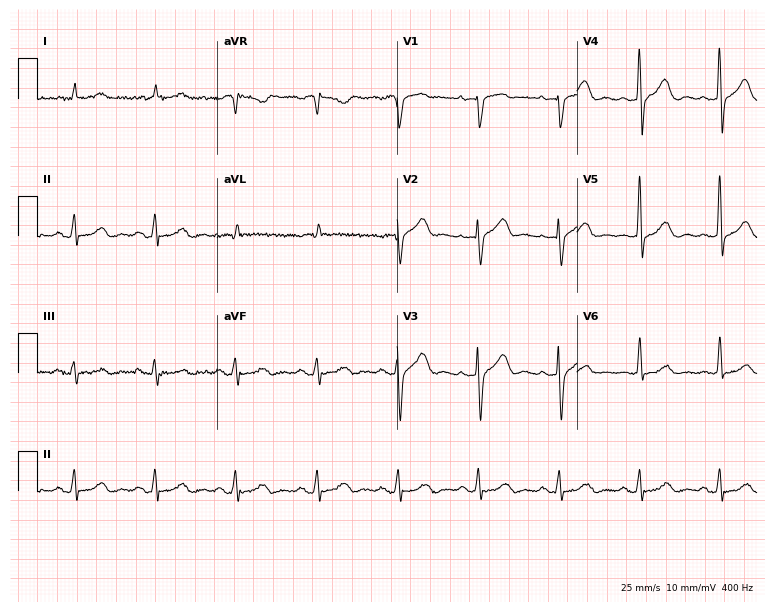
12-lead ECG from an 85-year-old male patient. No first-degree AV block, right bundle branch block, left bundle branch block, sinus bradycardia, atrial fibrillation or sinus tachycardia recorded for this tracing.